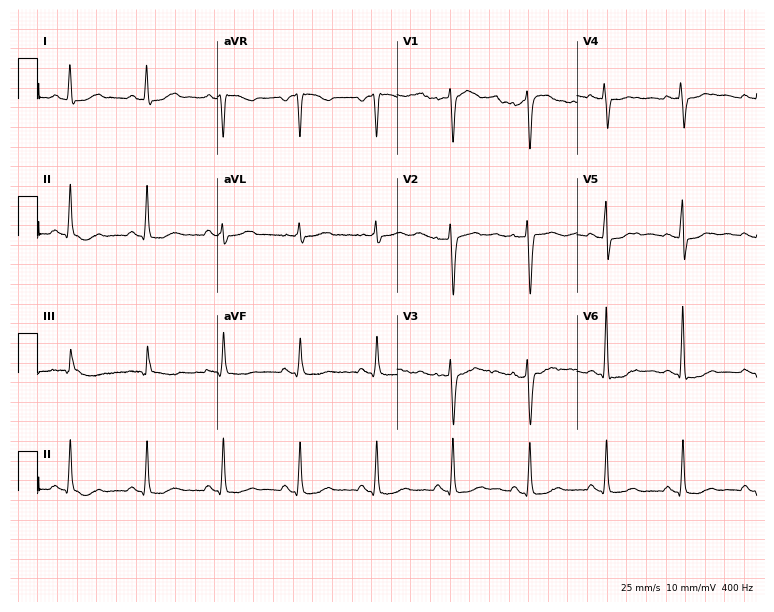
Electrocardiogram (7.3-second recording at 400 Hz), a female, 65 years old. Of the six screened findings (first-degree AV block, right bundle branch block, left bundle branch block, sinus bradycardia, atrial fibrillation, sinus tachycardia), none is recorded. Only these six findings were labelled.